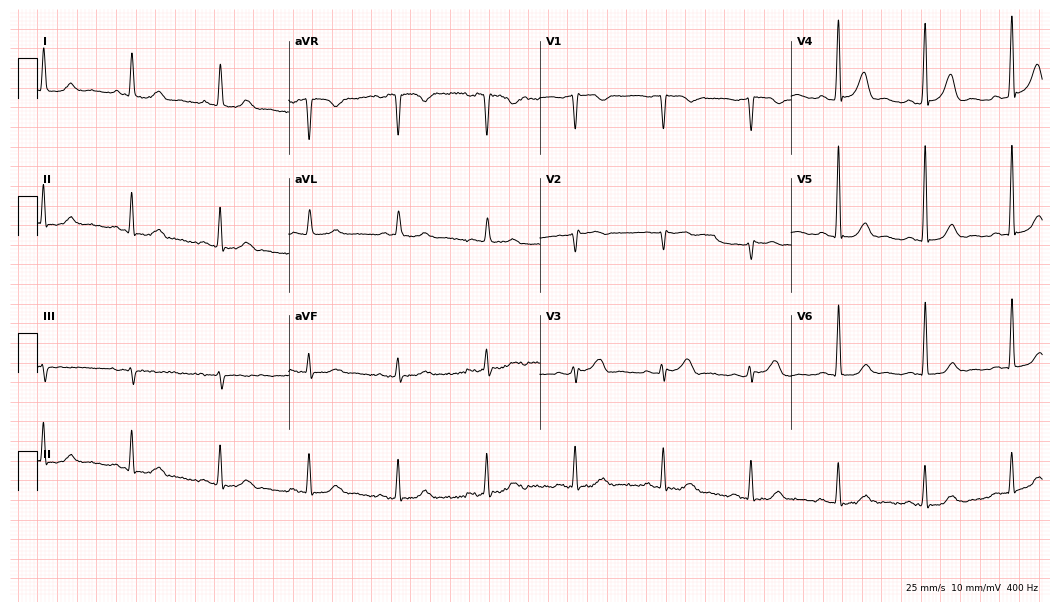
12-lead ECG (10.2-second recording at 400 Hz) from a 76-year-old man. Labelled as a normal ECG.